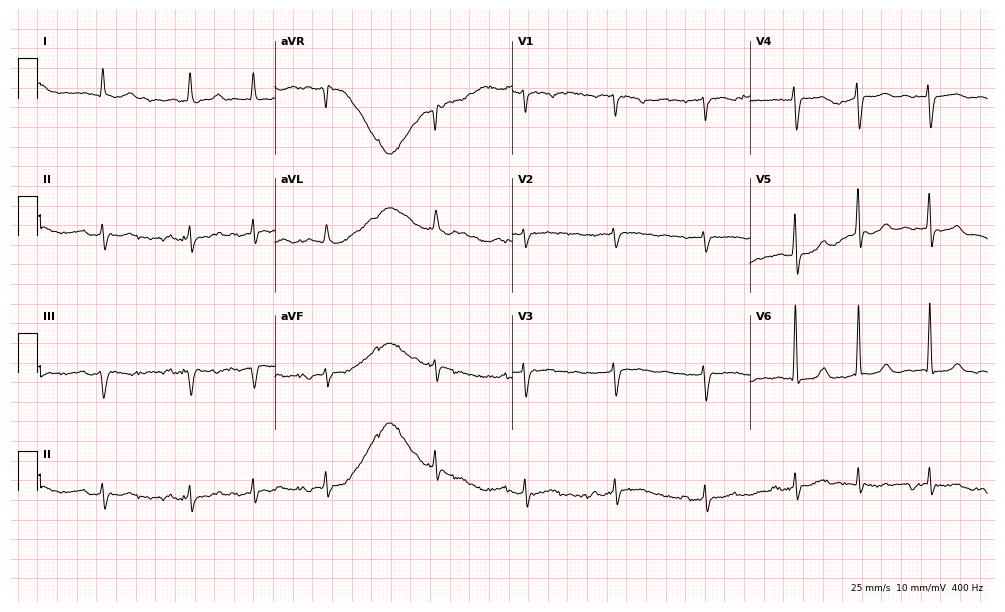
Standard 12-lead ECG recorded from a male patient, 82 years old. None of these six findings is recorded: first-degree AV block, right bundle branch block, left bundle branch block, sinus bradycardia, atrial fibrillation, sinus tachycardia.